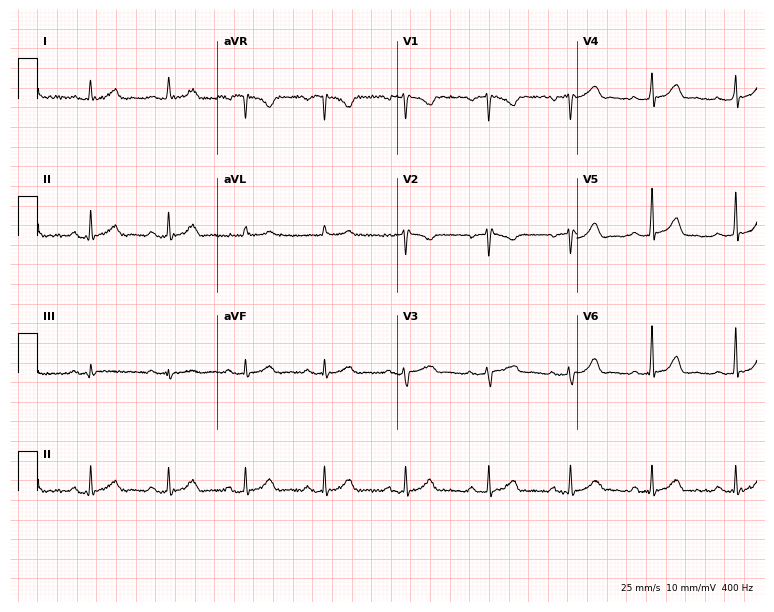
ECG (7.3-second recording at 400 Hz) — a woman, 44 years old. Labelled as a normal ECG.